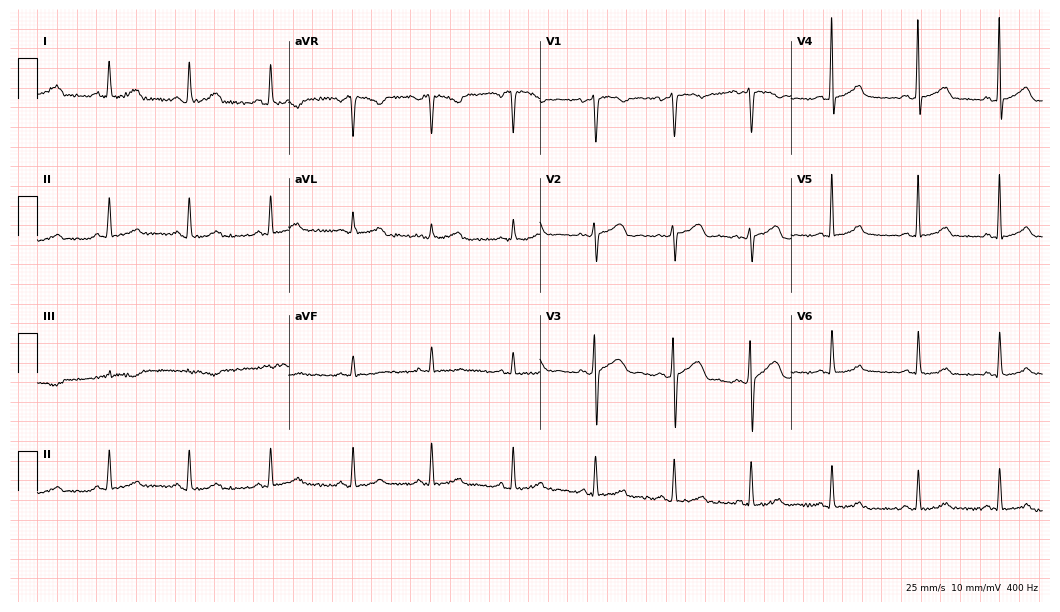
12-lead ECG from a 33-year-old woman. Screened for six findings — first-degree AV block, right bundle branch block, left bundle branch block, sinus bradycardia, atrial fibrillation, sinus tachycardia — none is recorded.